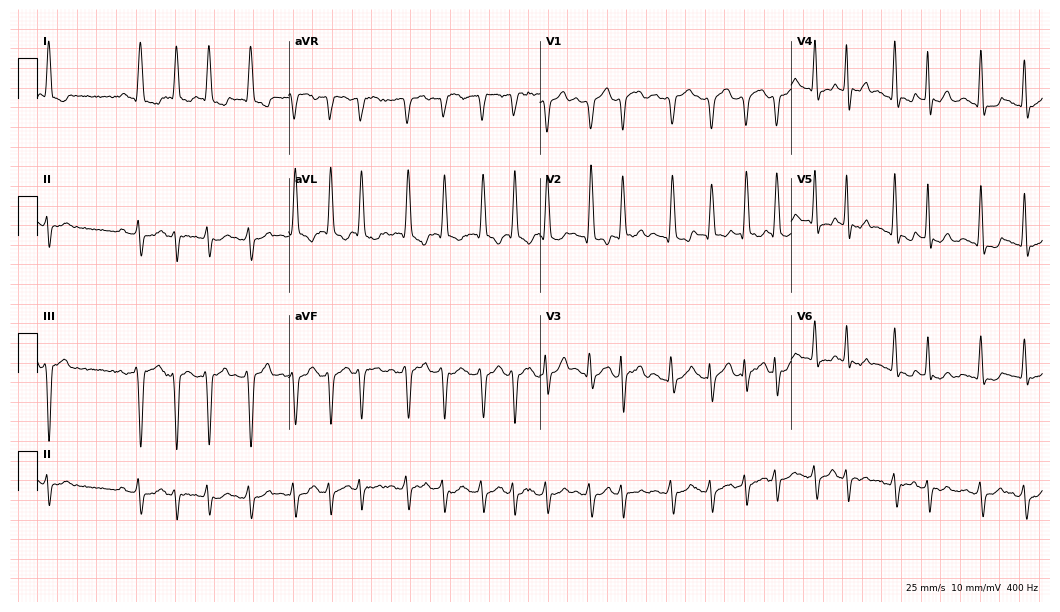
12-lead ECG from an 81-year-old male patient (10.2-second recording at 400 Hz). Shows atrial fibrillation (AF).